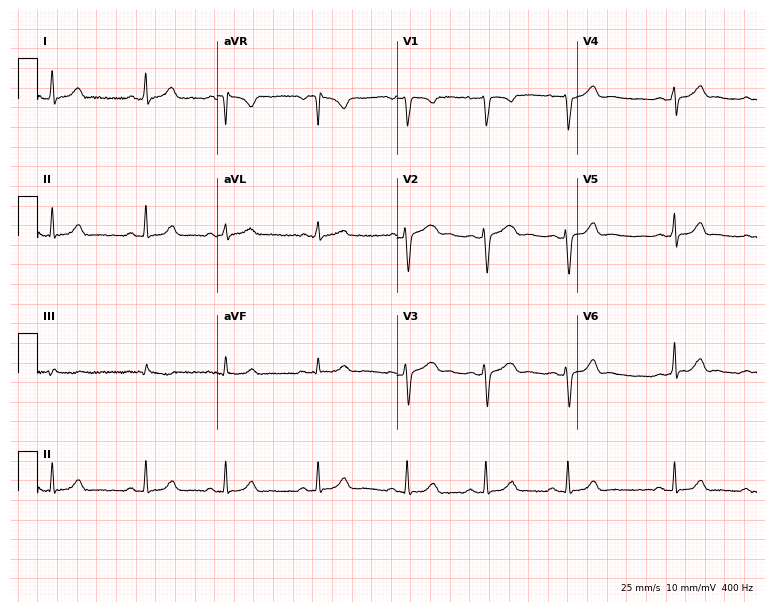
ECG — a 19-year-old woman. Labelled as a normal ECG.